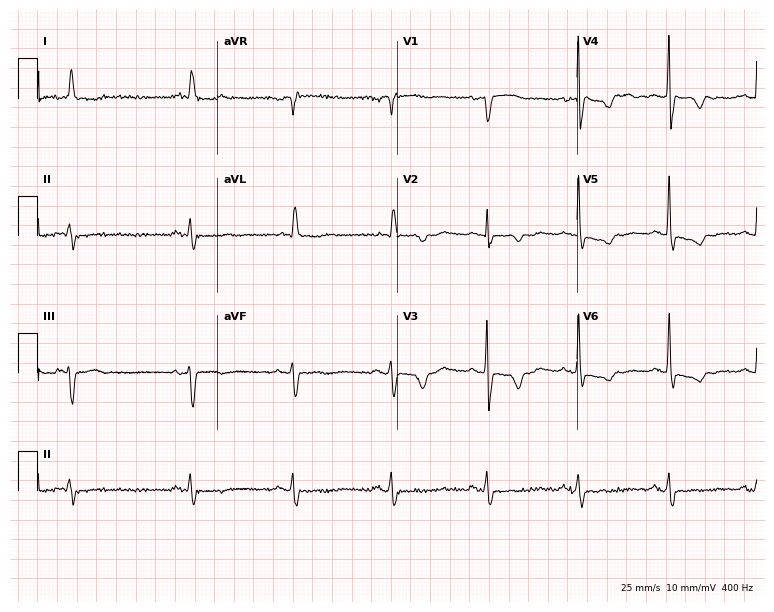
Resting 12-lead electrocardiogram. Patient: an 84-year-old woman. None of these six findings is recorded: first-degree AV block, right bundle branch block, left bundle branch block, sinus bradycardia, atrial fibrillation, sinus tachycardia. Only these six findings were labelled.